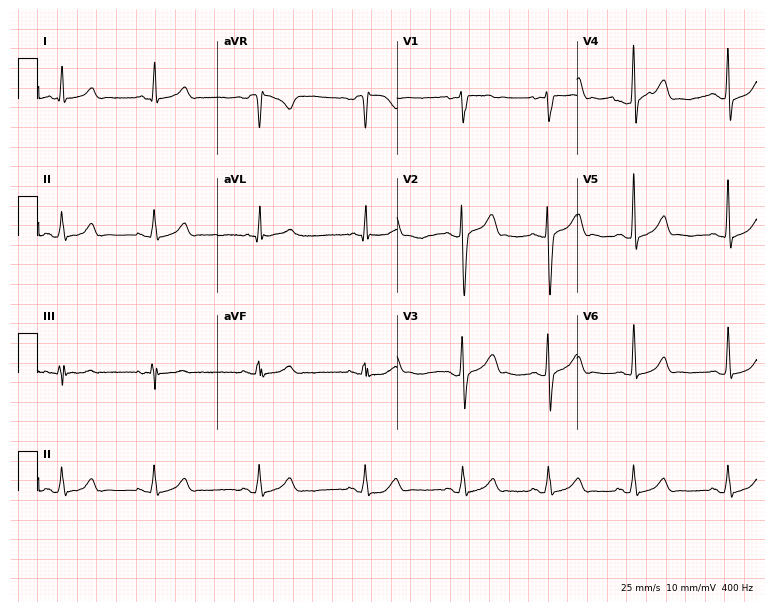
12-lead ECG from a man, 29 years old. Recorded interpretation: within normal limits.